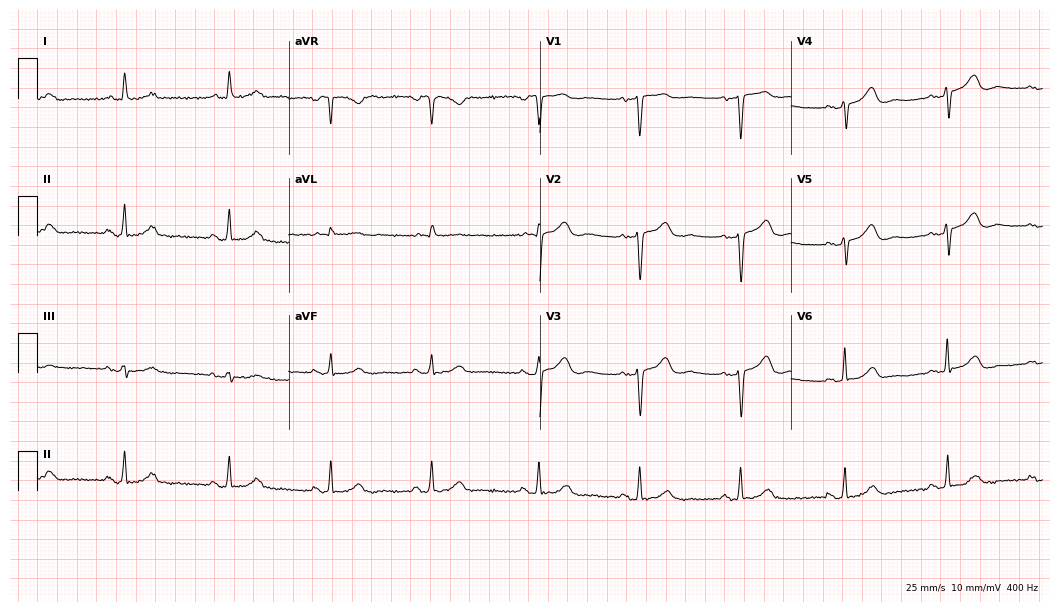
ECG — a 74-year-old female patient. Screened for six findings — first-degree AV block, right bundle branch block, left bundle branch block, sinus bradycardia, atrial fibrillation, sinus tachycardia — none is recorded. Findings outside these six are not listed.